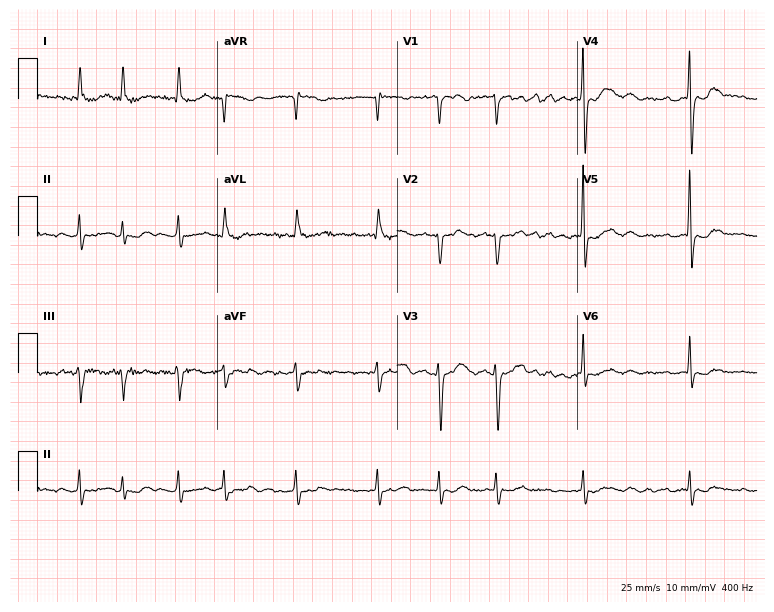
ECG — a 77-year-old female. Findings include atrial fibrillation (AF).